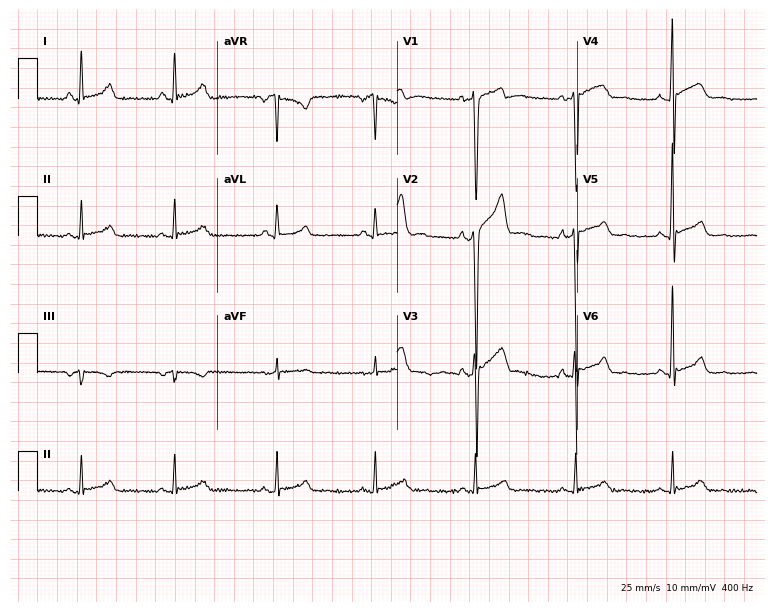
Resting 12-lead electrocardiogram. Patient: a male, 45 years old. None of these six findings is recorded: first-degree AV block, right bundle branch block, left bundle branch block, sinus bradycardia, atrial fibrillation, sinus tachycardia. Only these six findings were labelled.